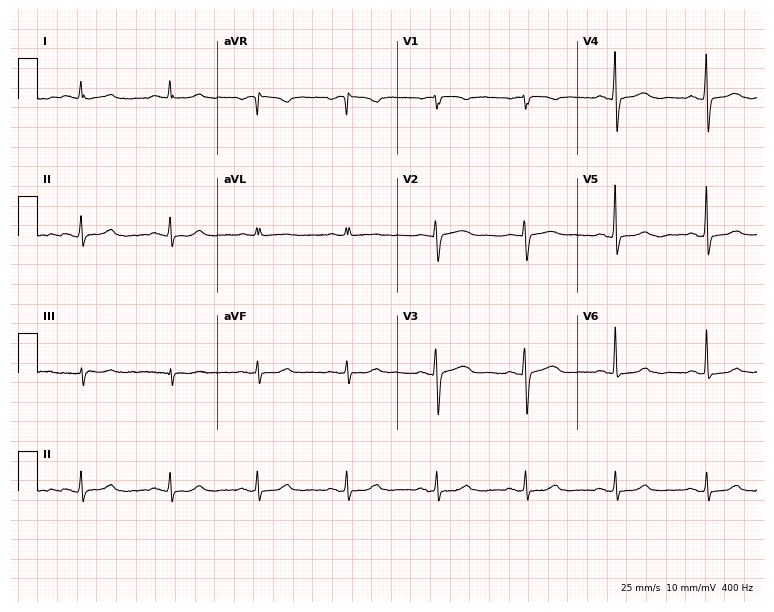
Electrocardiogram, a woman, 68 years old. Of the six screened findings (first-degree AV block, right bundle branch block (RBBB), left bundle branch block (LBBB), sinus bradycardia, atrial fibrillation (AF), sinus tachycardia), none is recorded. Findings outside these six are not listed.